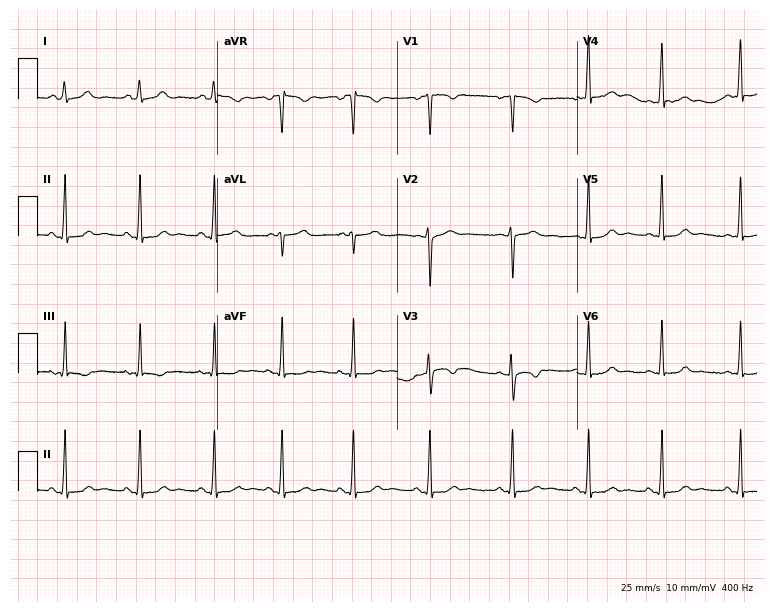
ECG (7.3-second recording at 400 Hz) — a female, 17 years old. Screened for six findings — first-degree AV block, right bundle branch block (RBBB), left bundle branch block (LBBB), sinus bradycardia, atrial fibrillation (AF), sinus tachycardia — none is recorded. Findings outside these six are not listed.